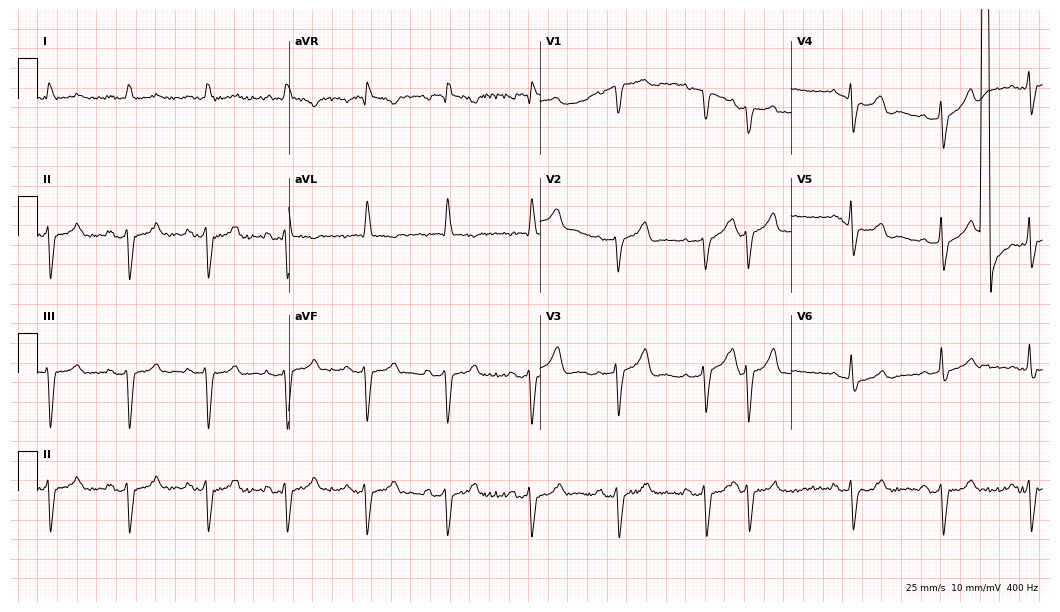
Electrocardiogram (10.2-second recording at 400 Hz), a 78-year-old man. Of the six screened findings (first-degree AV block, right bundle branch block, left bundle branch block, sinus bradycardia, atrial fibrillation, sinus tachycardia), none is recorded.